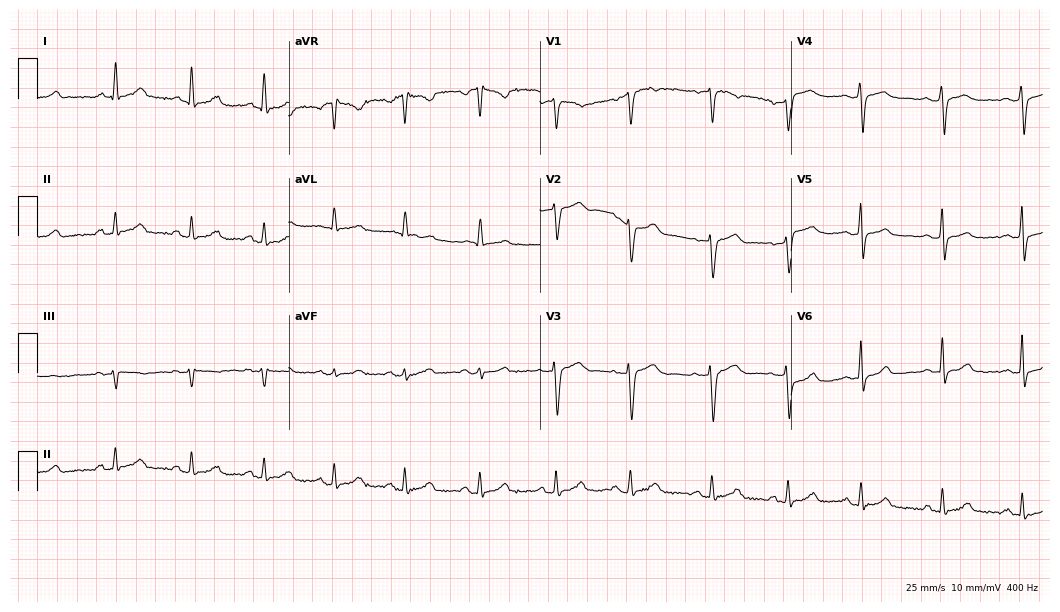
12-lead ECG from a female patient, 49 years old. Labelled as a normal ECG.